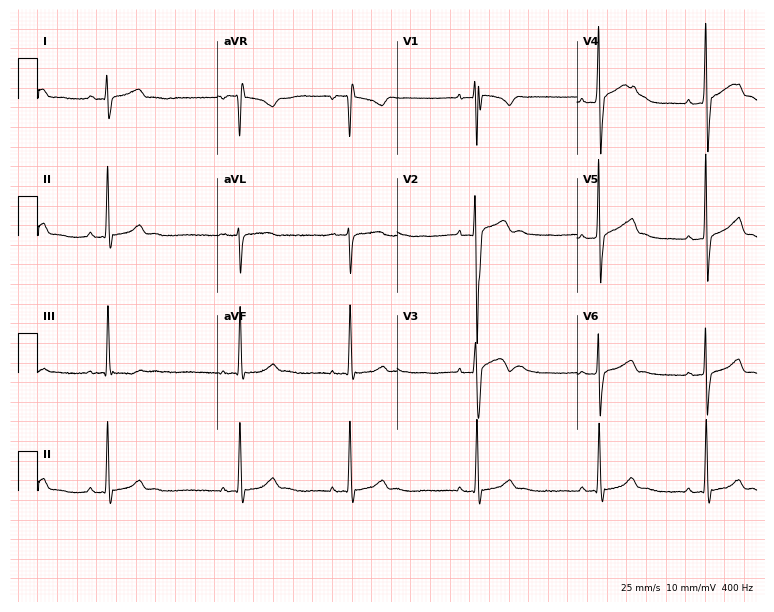
12-lead ECG from a male patient, 19 years old. Labelled as a normal ECG.